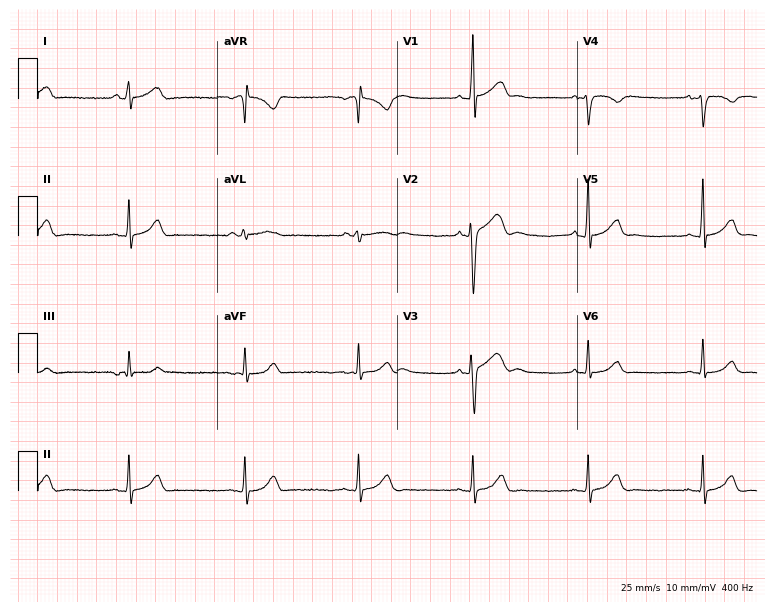
12-lead ECG (7.3-second recording at 400 Hz) from a man, 26 years old. Labelled as a normal ECG.